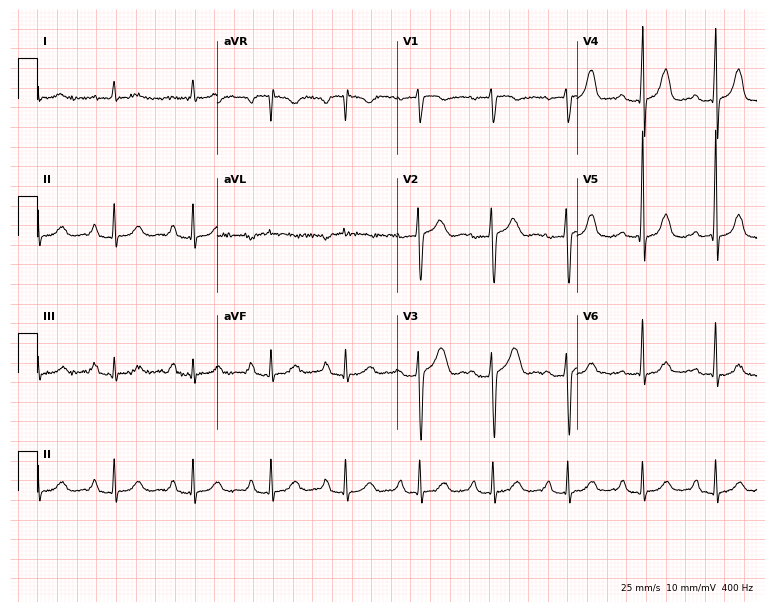
Standard 12-lead ECG recorded from a 52-year-old female patient (7.3-second recording at 400 Hz). The tracing shows first-degree AV block.